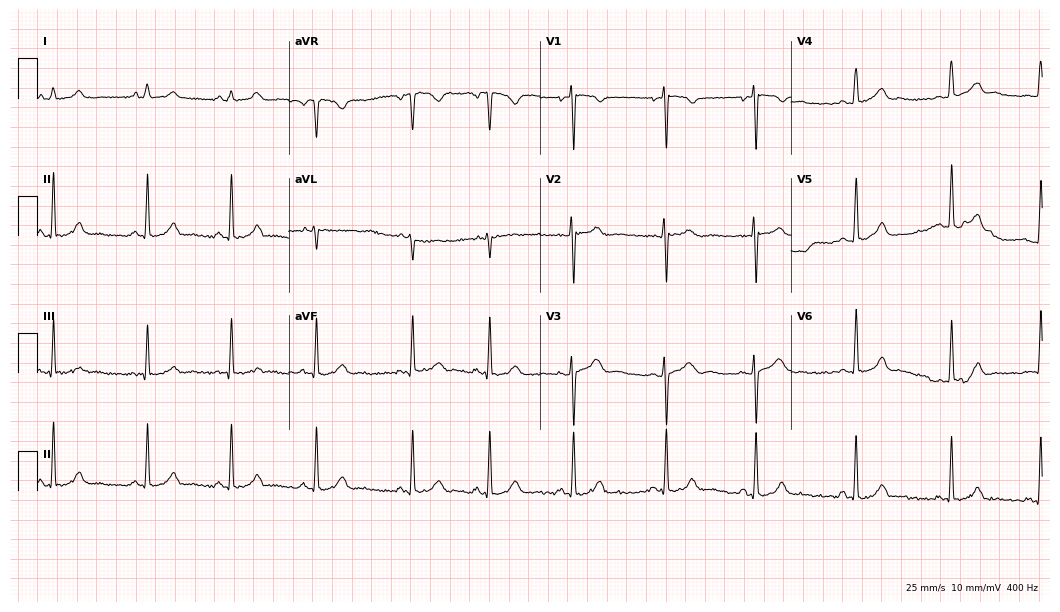
12-lead ECG (10.2-second recording at 400 Hz) from a 17-year-old woman. Labelled as a normal ECG.